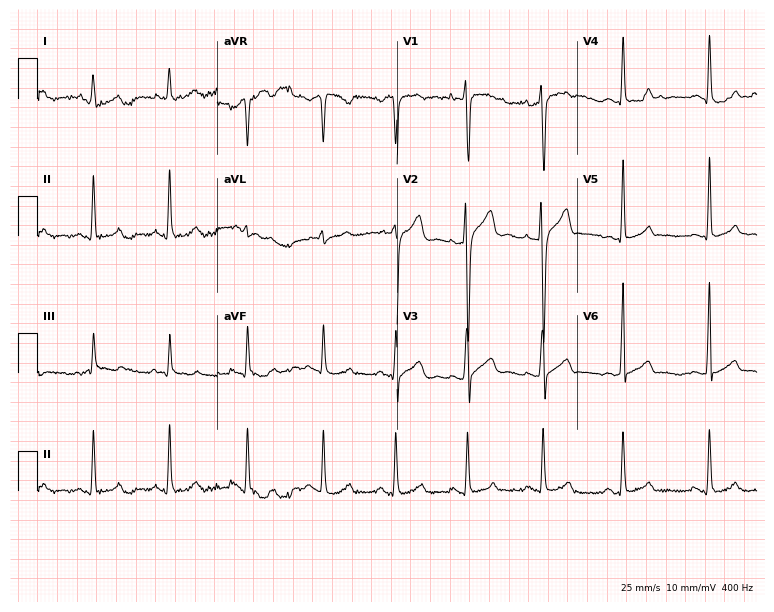
ECG — a male patient, 25 years old. Screened for six findings — first-degree AV block, right bundle branch block, left bundle branch block, sinus bradycardia, atrial fibrillation, sinus tachycardia — none is recorded. Findings outside these six are not listed.